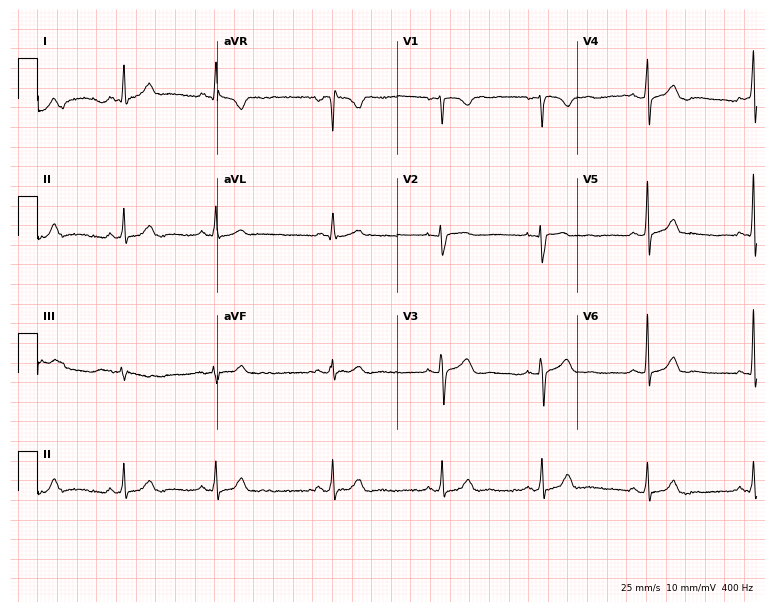
12-lead ECG from a female patient, 34 years old. Recorded interpretation: within normal limits.